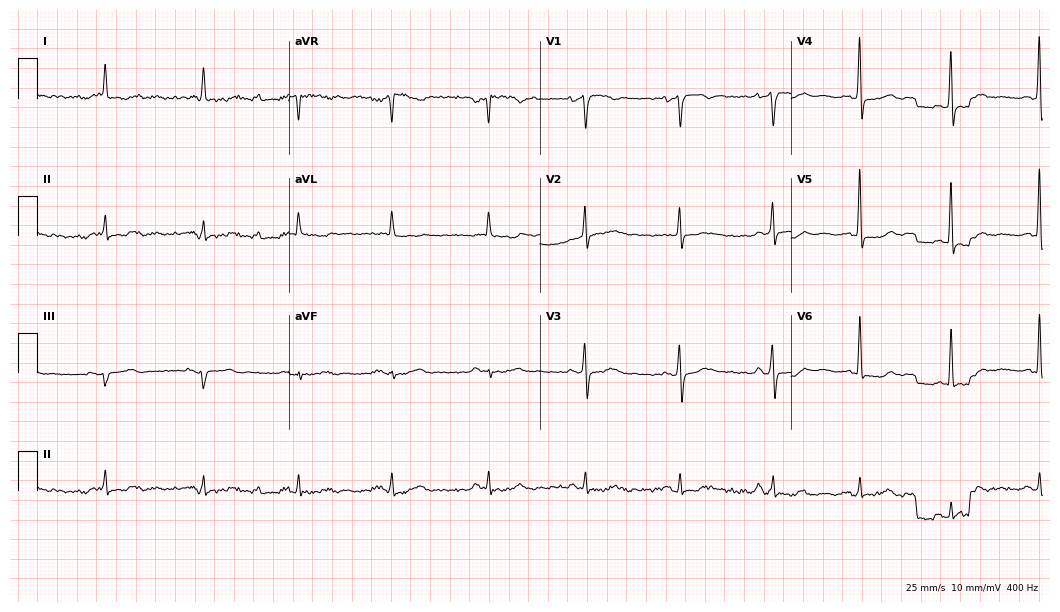
Standard 12-lead ECG recorded from a female patient, 64 years old (10.2-second recording at 400 Hz). Read as a normal ECG.